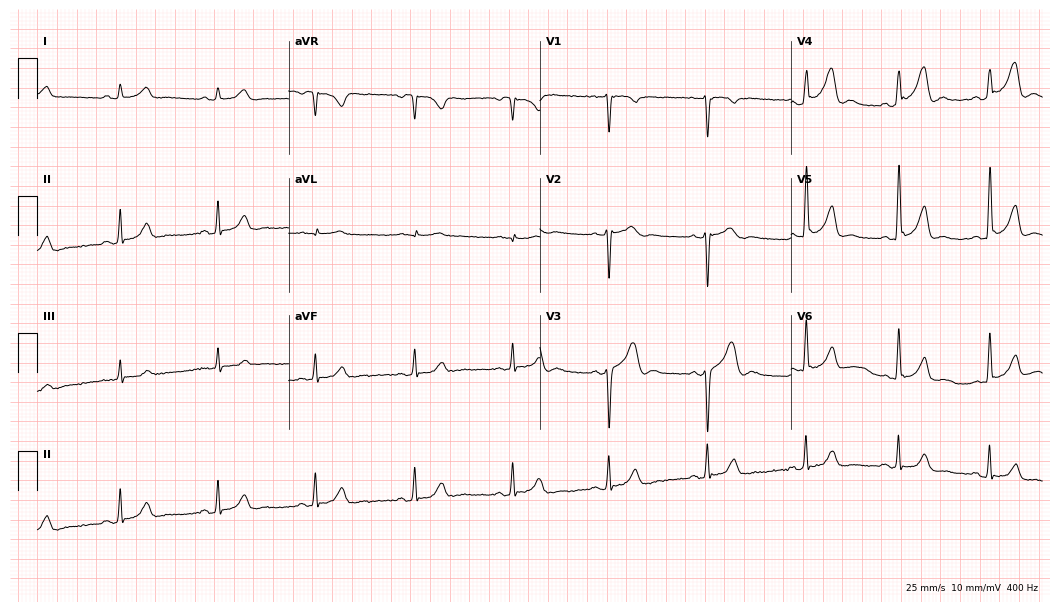
Standard 12-lead ECG recorded from a male patient, 43 years old (10.2-second recording at 400 Hz). Read as a normal ECG.